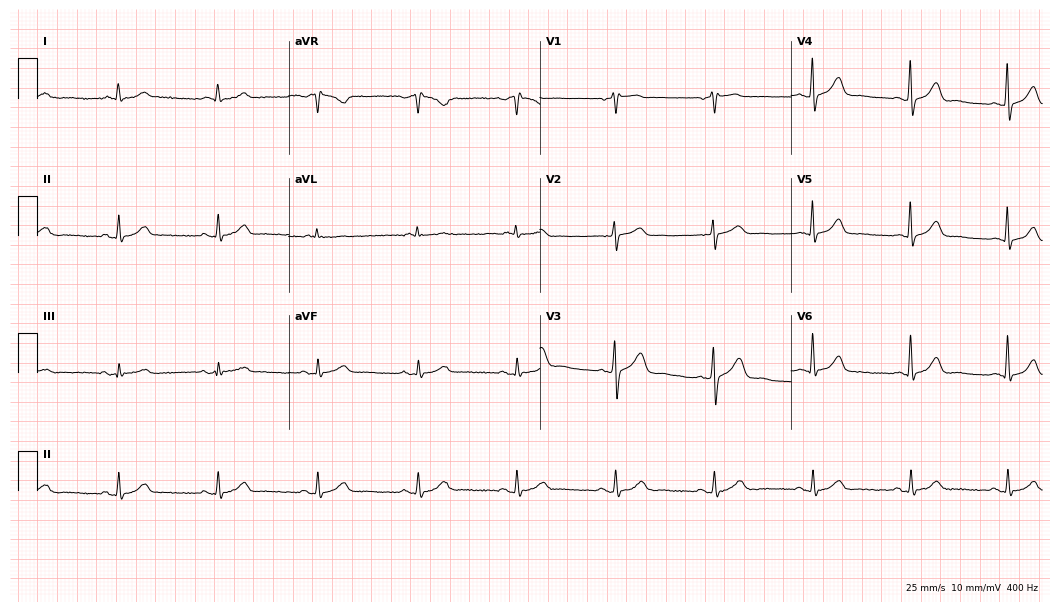
Electrocardiogram (10.2-second recording at 400 Hz), a male, 51 years old. Overall reading on record: normal ECG.